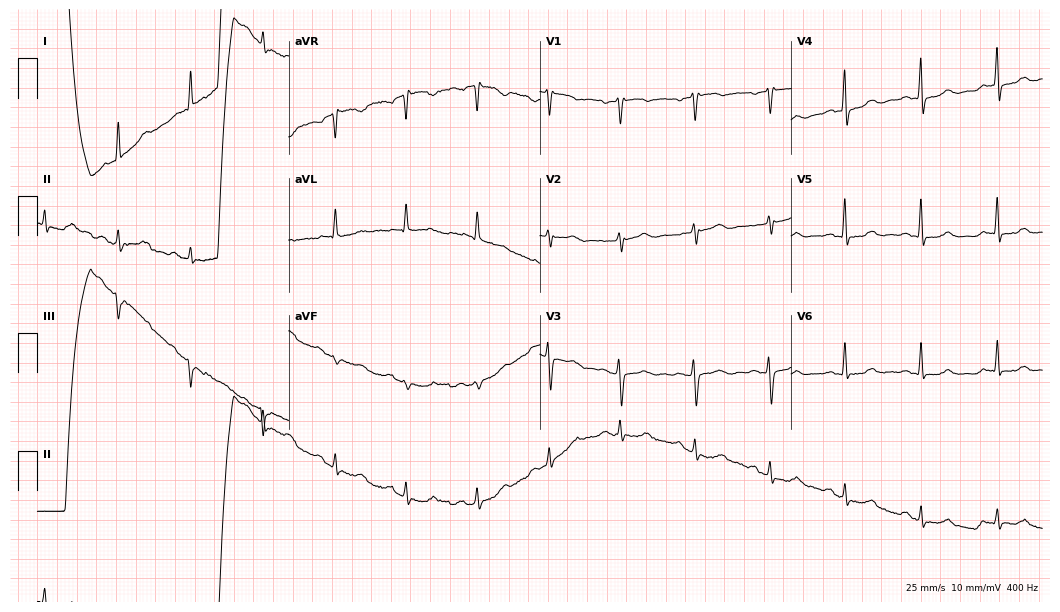
ECG (10.2-second recording at 400 Hz) — a 57-year-old female. Screened for six findings — first-degree AV block, right bundle branch block, left bundle branch block, sinus bradycardia, atrial fibrillation, sinus tachycardia — none is recorded.